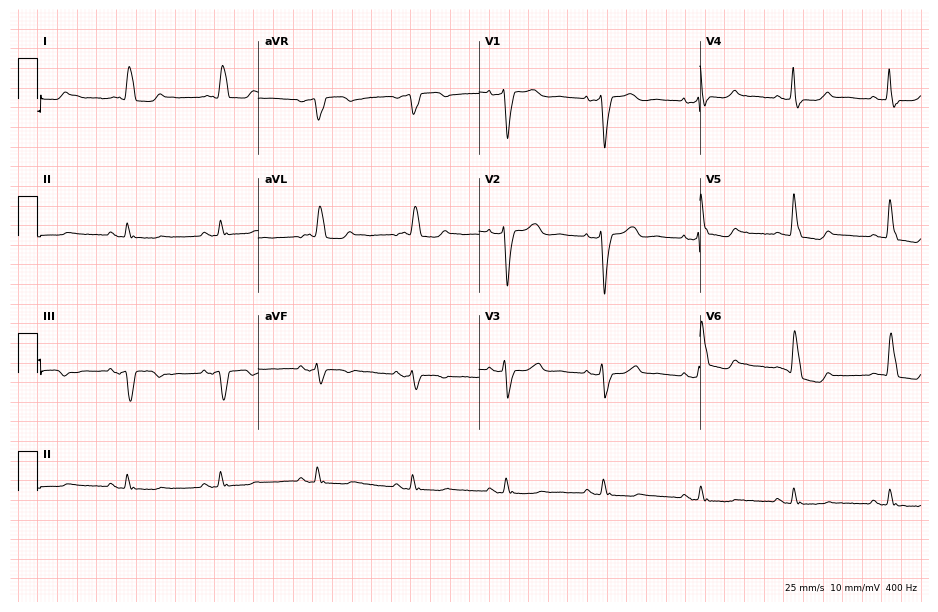
12-lead ECG from a 76-year-old female patient. Findings include left bundle branch block.